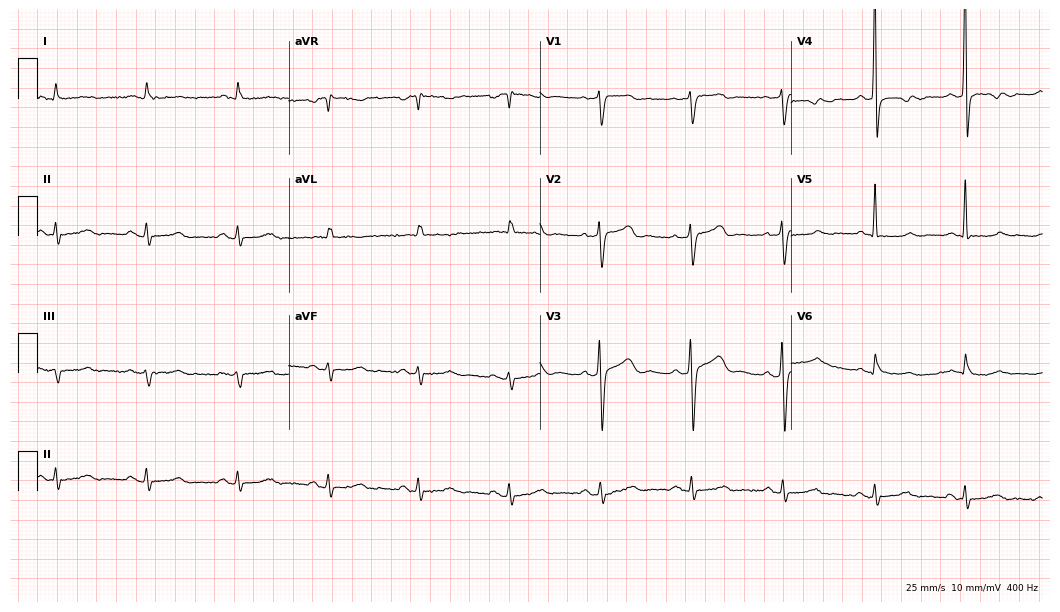
12-lead ECG from a man, 70 years old. No first-degree AV block, right bundle branch block, left bundle branch block, sinus bradycardia, atrial fibrillation or sinus tachycardia recorded for this tracing.